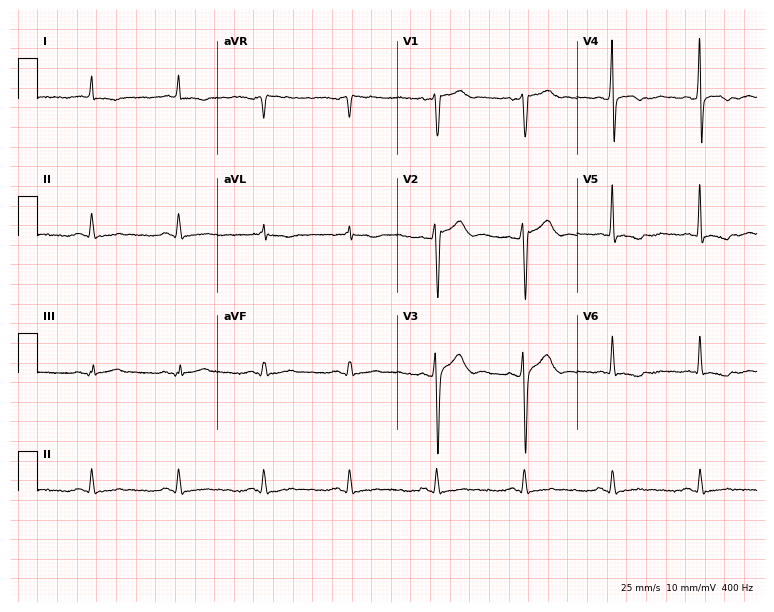
12-lead ECG from a female, 33 years old. No first-degree AV block, right bundle branch block, left bundle branch block, sinus bradycardia, atrial fibrillation or sinus tachycardia recorded for this tracing. Findings outside these six are not listed.